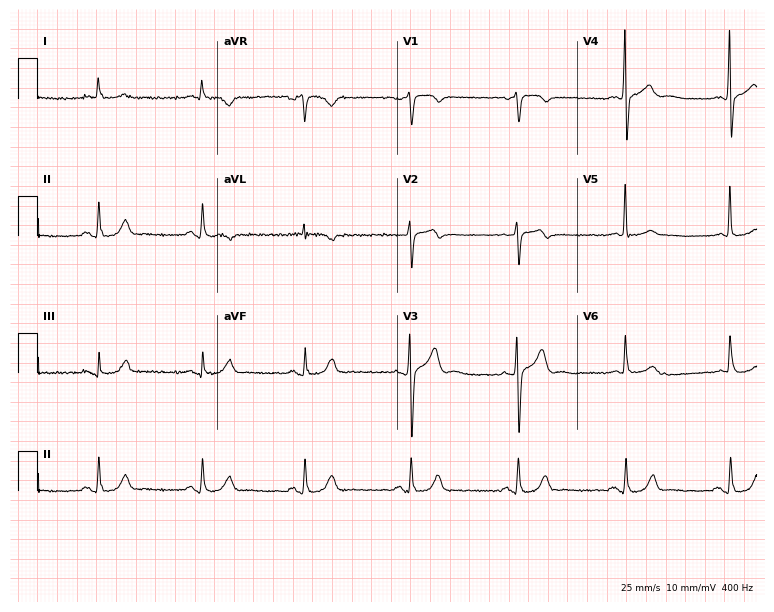
Resting 12-lead electrocardiogram. Patient: a male, 70 years old. Read as a normal ECG.